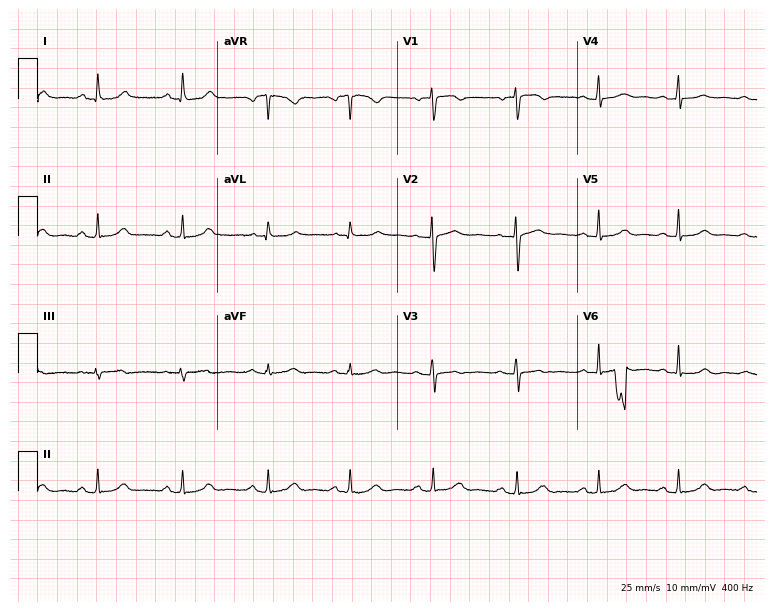
12-lead ECG from a female, 58 years old. Recorded interpretation: within normal limits.